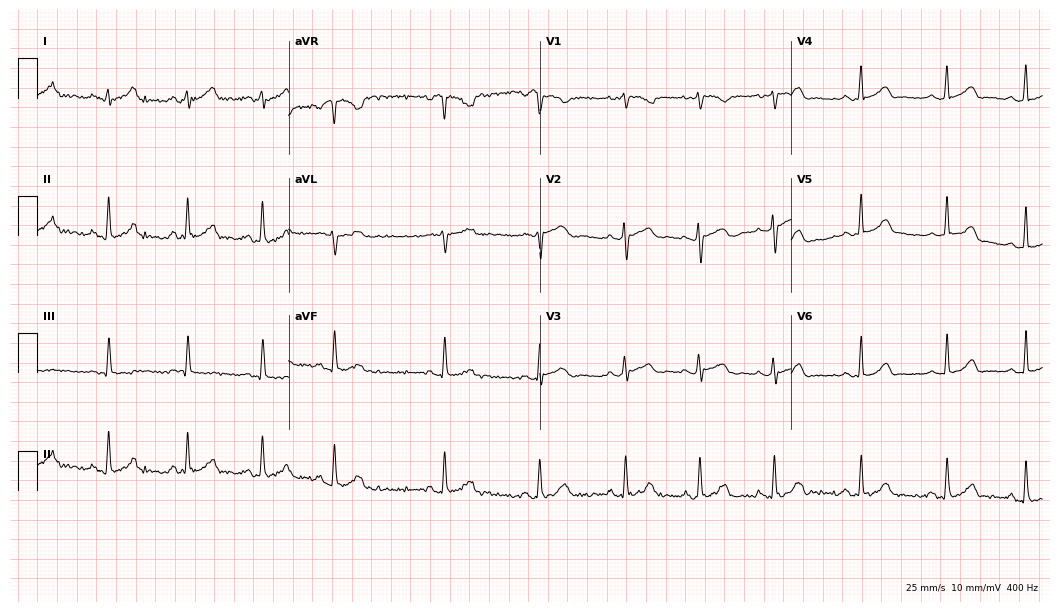
ECG — a female patient, 25 years old. Labelled as a normal ECG.